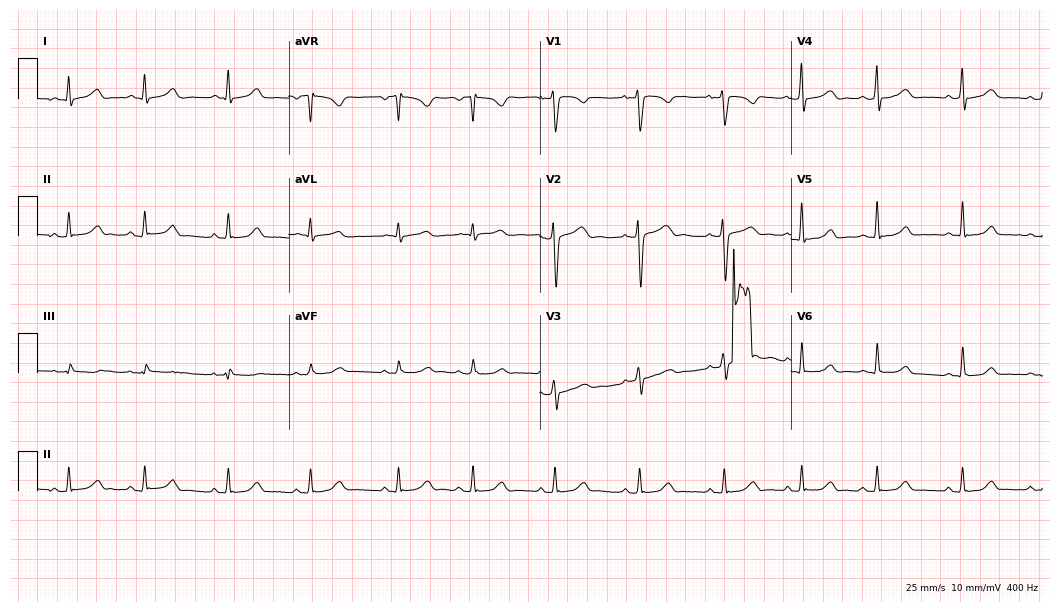
Electrocardiogram (10.2-second recording at 400 Hz), a 22-year-old female patient. Of the six screened findings (first-degree AV block, right bundle branch block, left bundle branch block, sinus bradycardia, atrial fibrillation, sinus tachycardia), none is recorded.